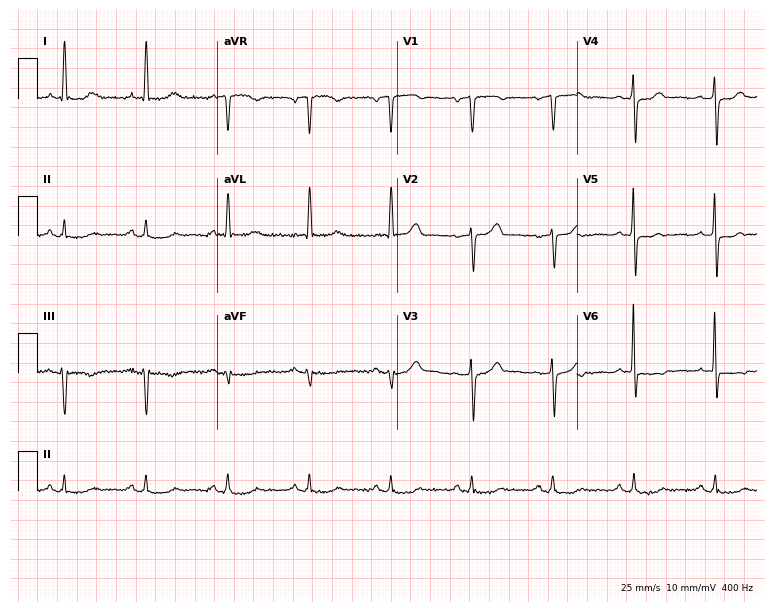
ECG (7.3-second recording at 400 Hz) — a male patient, 64 years old. Labelled as a normal ECG.